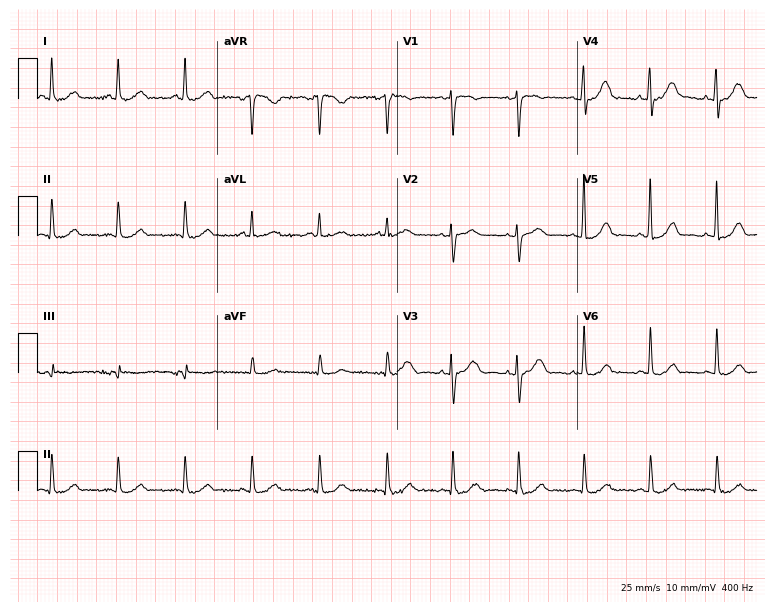
Standard 12-lead ECG recorded from a 63-year-old woman (7.3-second recording at 400 Hz). Read as a normal ECG.